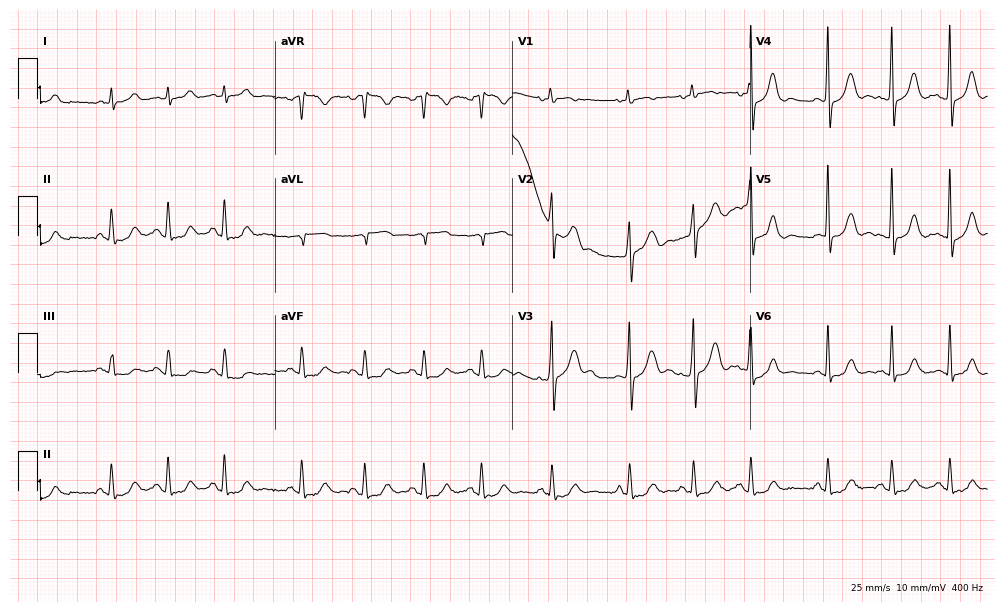
12-lead ECG from a female, 57 years old (9.7-second recording at 400 Hz). Recorded interpretation: within normal limits.